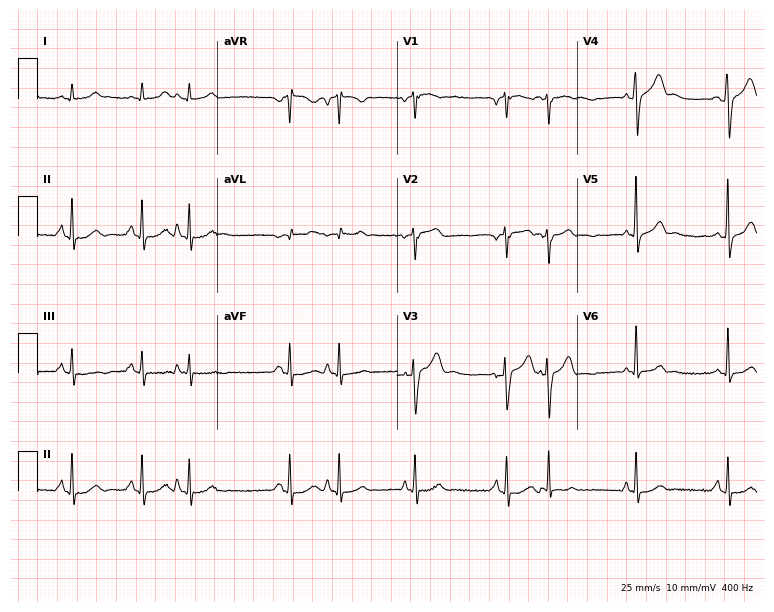
Standard 12-lead ECG recorded from a male patient, 73 years old. None of these six findings is recorded: first-degree AV block, right bundle branch block, left bundle branch block, sinus bradycardia, atrial fibrillation, sinus tachycardia. Other findings, if any, are not listed.